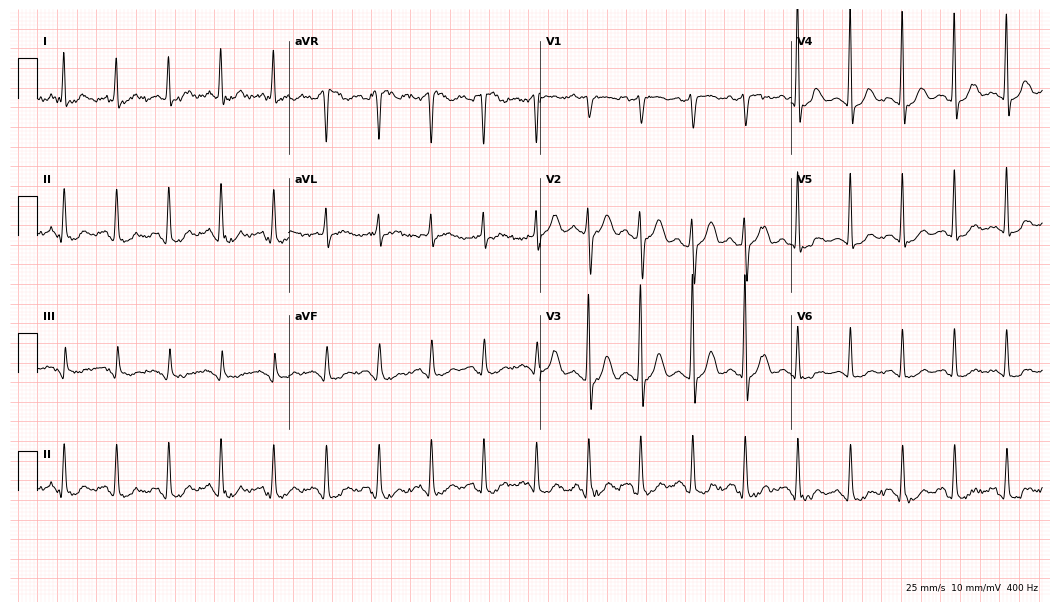
Standard 12-lead ECG recorded from a woman, 77 years old. The tracing shows sinus tachycardia (a sinus rate of 100 beats per minute or more).